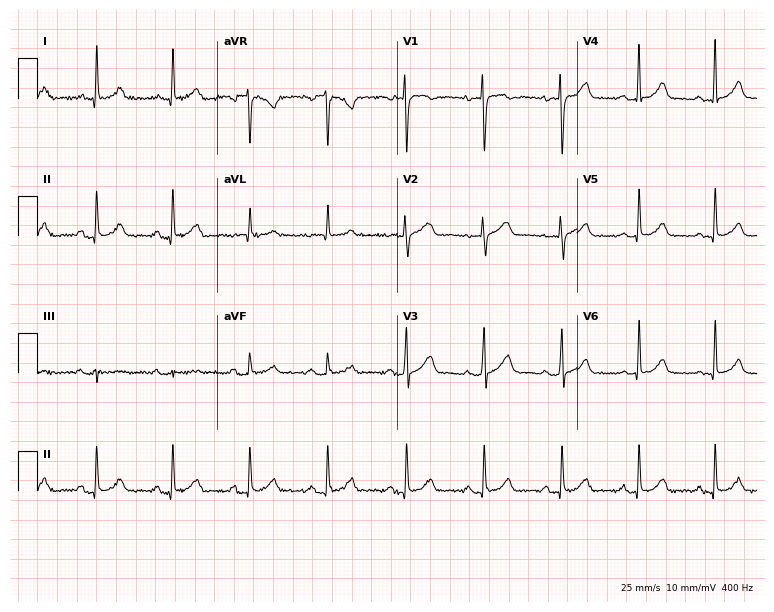
12-lead ECG (7.3-second recording at 400 Hz) from a 39-year-old female patient. Labelled as a normal ECG.